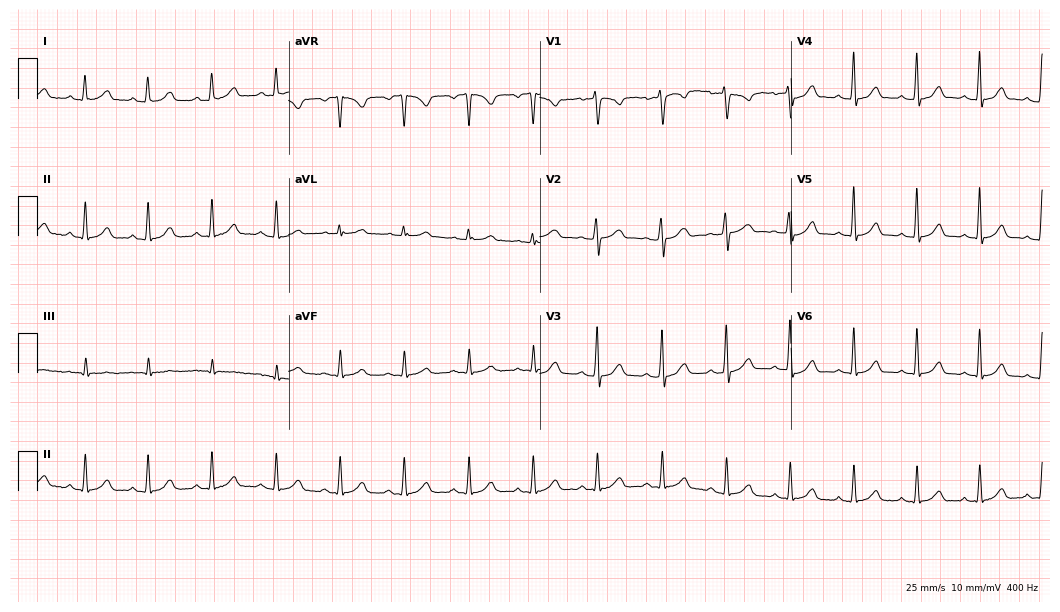
ECG (10.2-second recording at 400 Hz) — a 34-year-old woman. Labelled as a normal ECG.